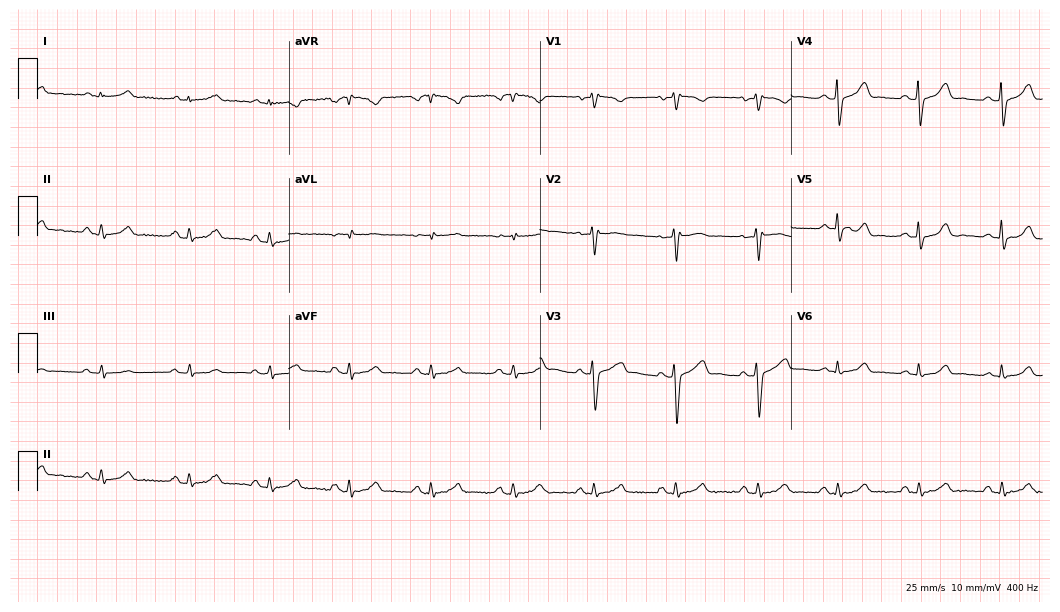
Standard 12-lead ECG recorded from a 35-year-old female patient. Read as a normal ECG.